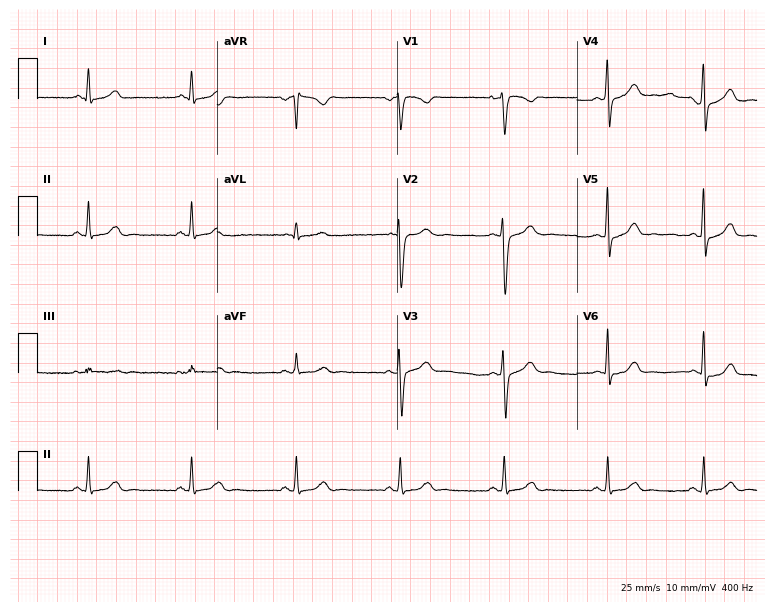
12-lead ECG from a female patient, 31 years old. No first-degree AV block, right bundle branch block (RBBB), left bundle branch block (LBBB), sinus bradycardia, atrial fibrillation (AF) or sinus tachycardia recorded for this tracing.